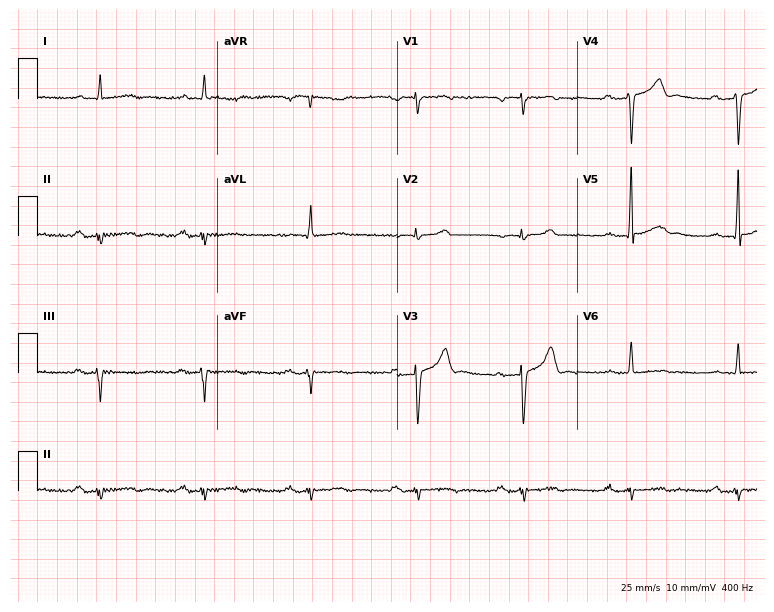
Resting 12-lead electrocardiogram (7.3-second recording at 400 Hz). Patient: a man, 40 years old. The tracing shows first-degree AV block.